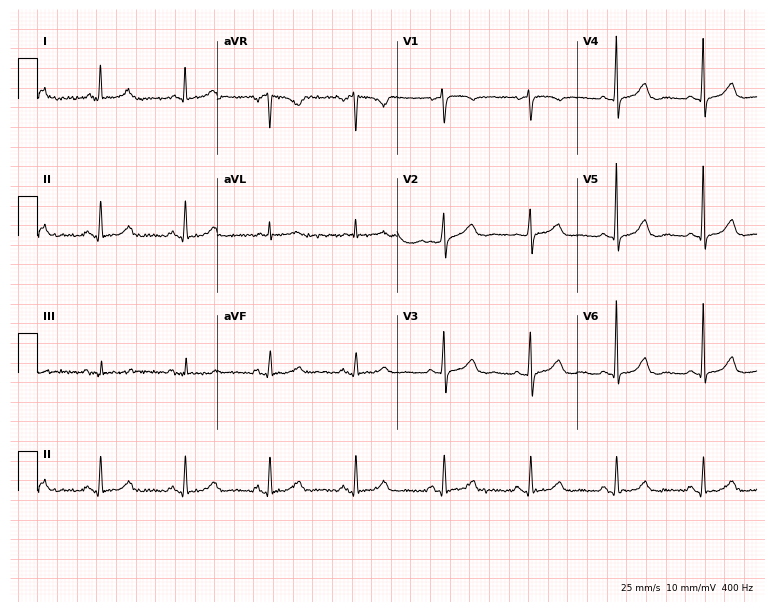
12-lead ECG from a 62-year-old woman. Labelled as a normal ECG.